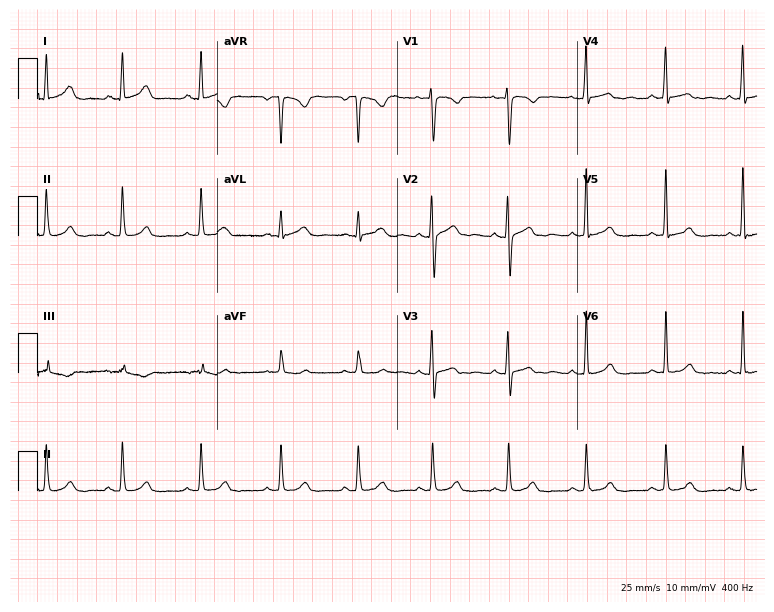
Standard 12-lead ECG recorded from a 25-year-old female. Read as a normal ECG.